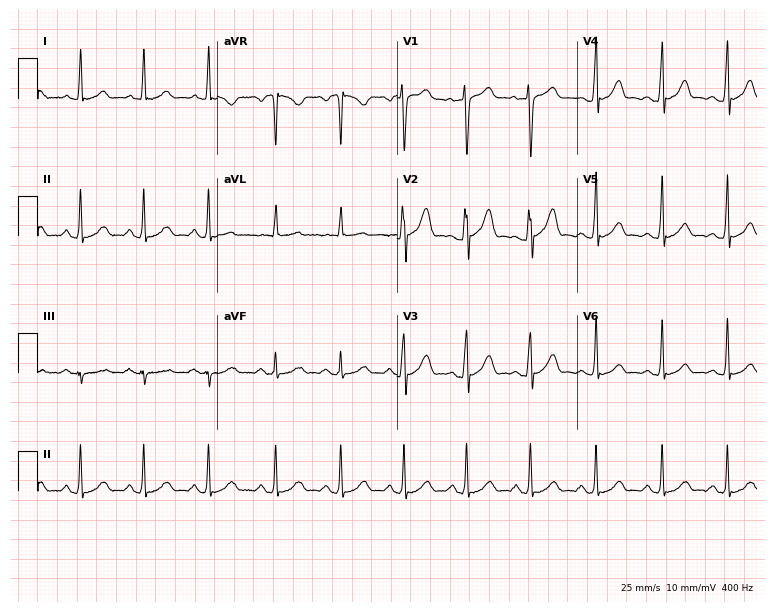
12-lead ECG from a 39-year-old male. Screened for six findings — first-degree AV block, right bundle branch block (RBBB), left bundle branch block (LBBB), sinus bradycardia, atrial fibrillation (AF), sinus tachycardia — none is recorded.